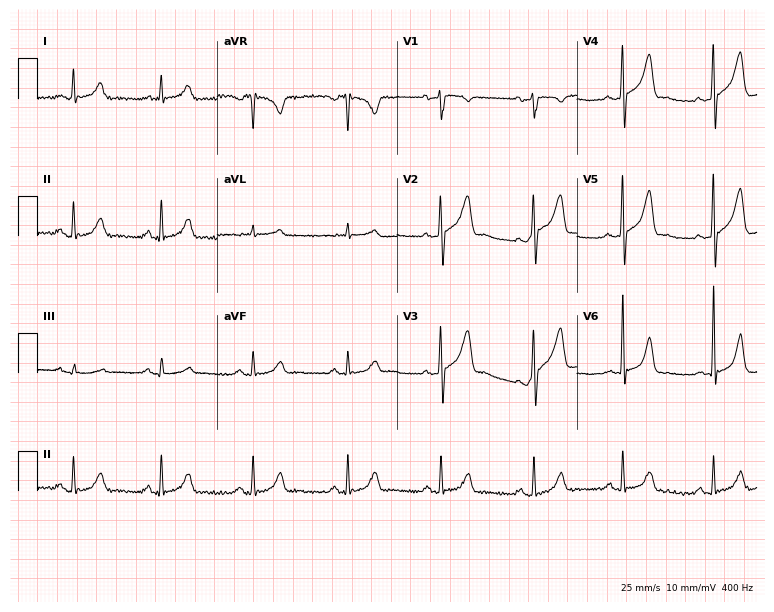
Standard 12-lead ECG recorded from a 64-year-old male patient (7.3-second recording at 400 Hz). None of these six findings is recorded: first-degree AV block, right bundle branch block, left bundle branch block, sinus bradycardia, atrial fibrillation, sinus tachycardia. Only these six findings were labelled.